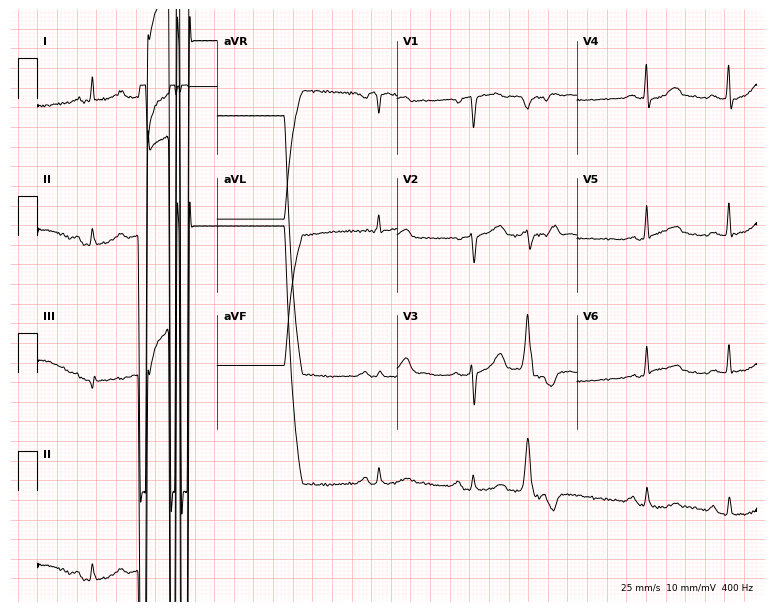
12-lead ECG from a man, 60 years old. No first-degree AV block, right bundle branch block, left bundle branch block, sinus bradycardia, atrial fibrillation or sinus tachycardia recorded for this tracing.